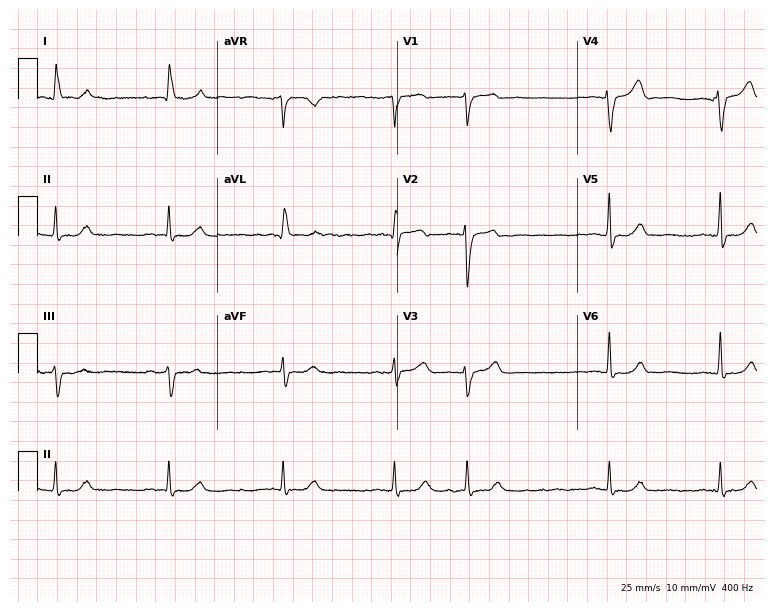
Electrocardiogram, a female, 82 years old. Of the six screened findings (first-degree AV block, right bundle branch block (RBBB), left bundle branch block (LBBB), sinus bradycardia, atrial fibrillation (AF), sinus tachycardia), none is recorded. Other findings, if any, are not listed.